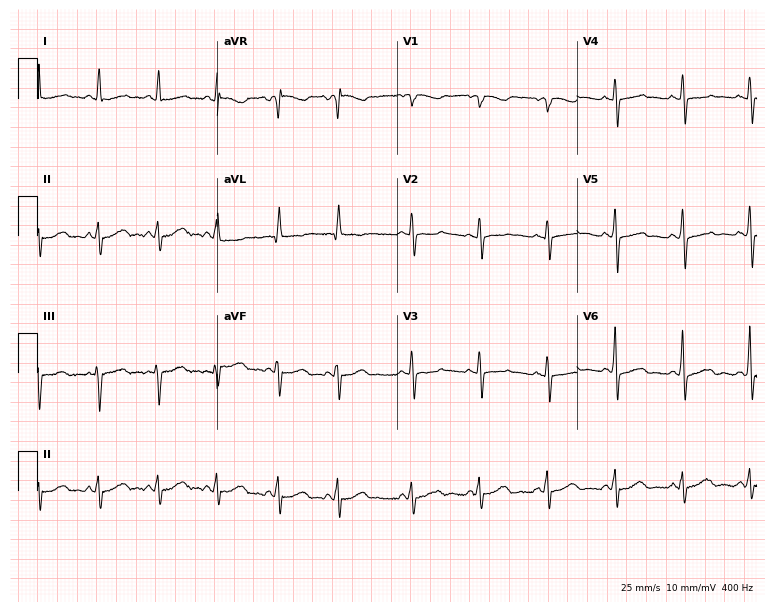
12-lead ECG (7.3-second recording at 400 Hz) from a female patient, 54 years old. Screened for six findings — first-degree AV block, right bundle branch block (RBBB), left bundle branch block (LBBB), sinus bradycardia, atrial fibrillation (AF), sinus tachycardia — none is recorded.